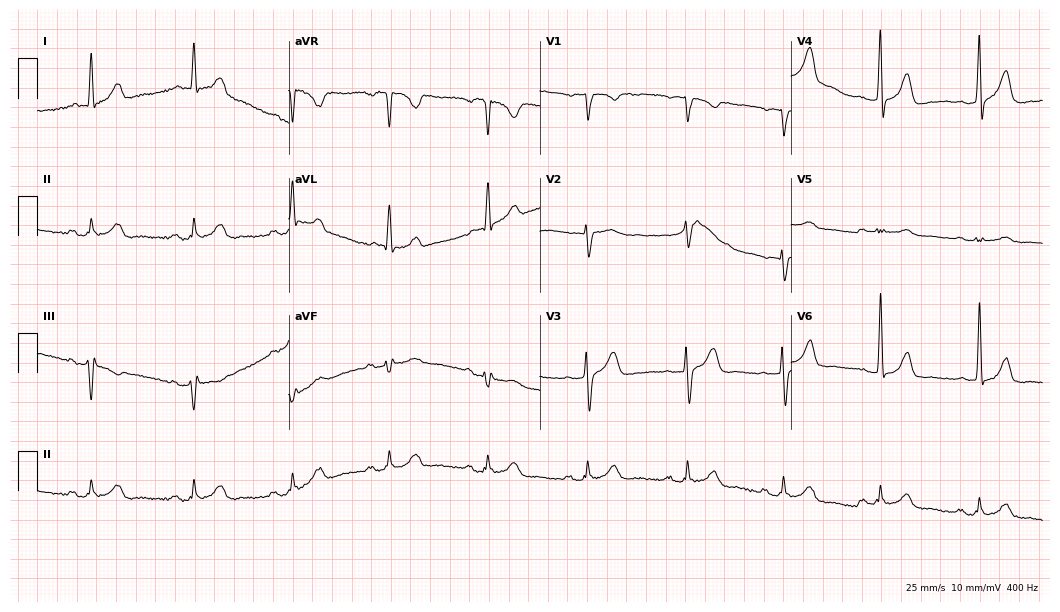
ECG — a male, 63 years old. Labelled as a normal ECG.